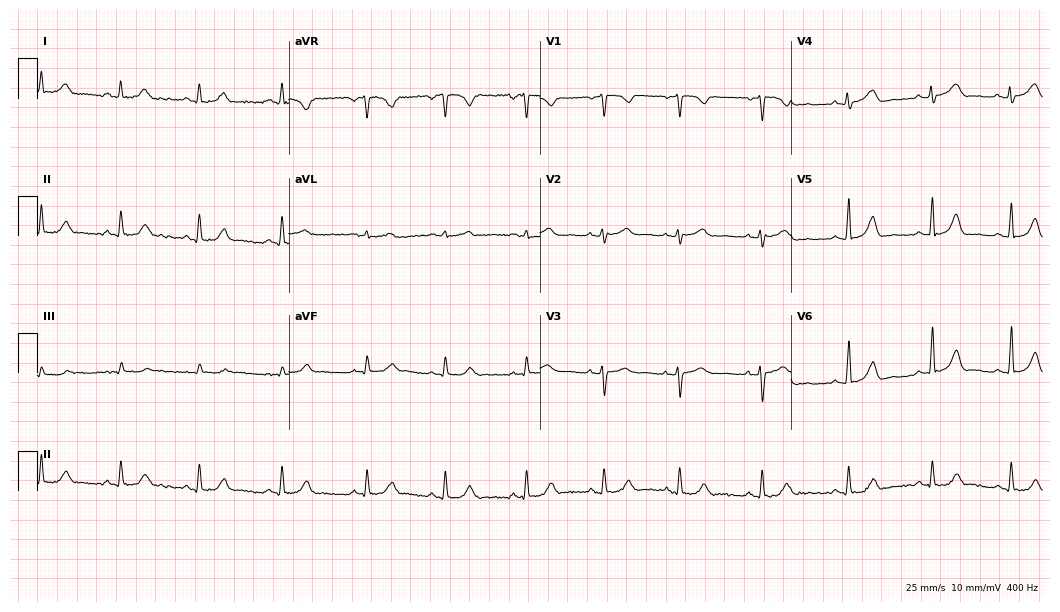
12-lead ECG from a female, 30 years old. Labelled as a normal ECG.